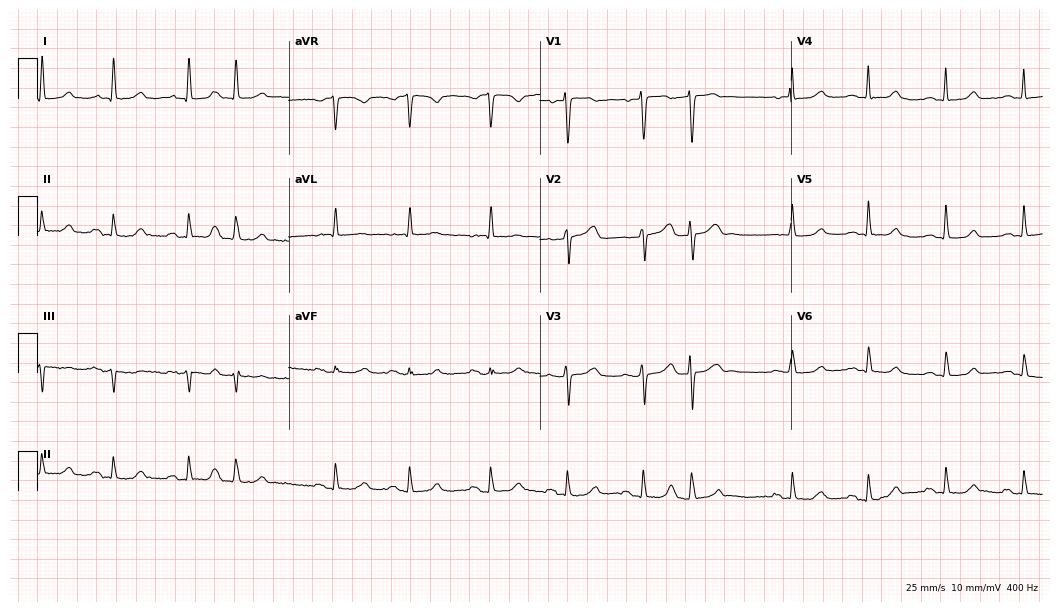
Electrocardiogram (10.2-second recording at 400 Hz), a male patient, 67 years old. Overall reading on record: normal ECG.